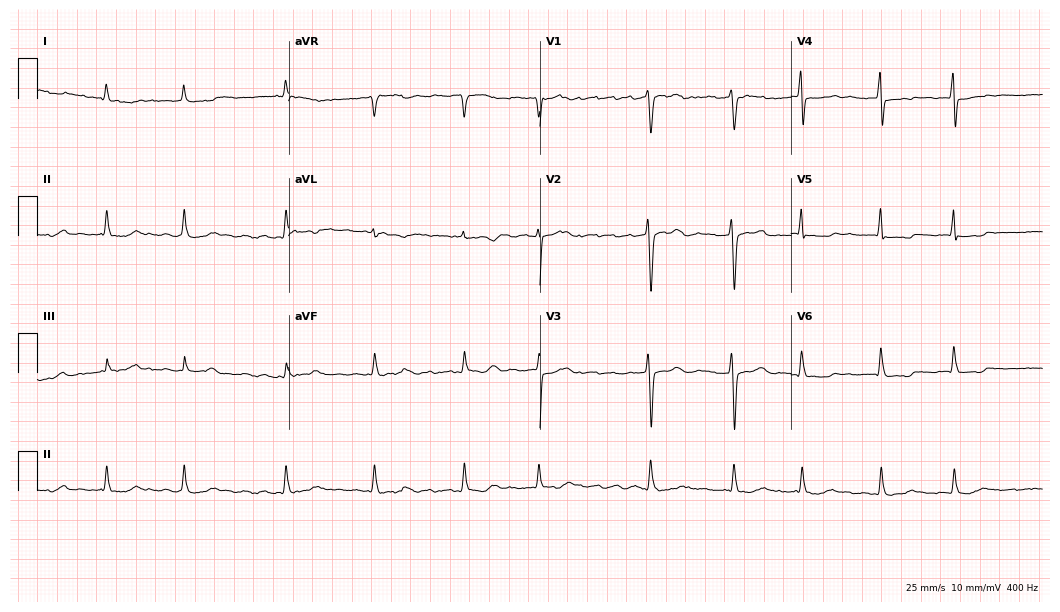
Standard 12-lead ECG recorded from a woman, 63 years old (10.2-second recording at 400 Hz). None of these six findings is recorded: first-degree AV block, right bundle branch block (RBBB), left bundle branch block (LBBB), sinus bradycardia, atrial fibrillation (AF), sinus tachycardia. Findings outside these six are not listed.